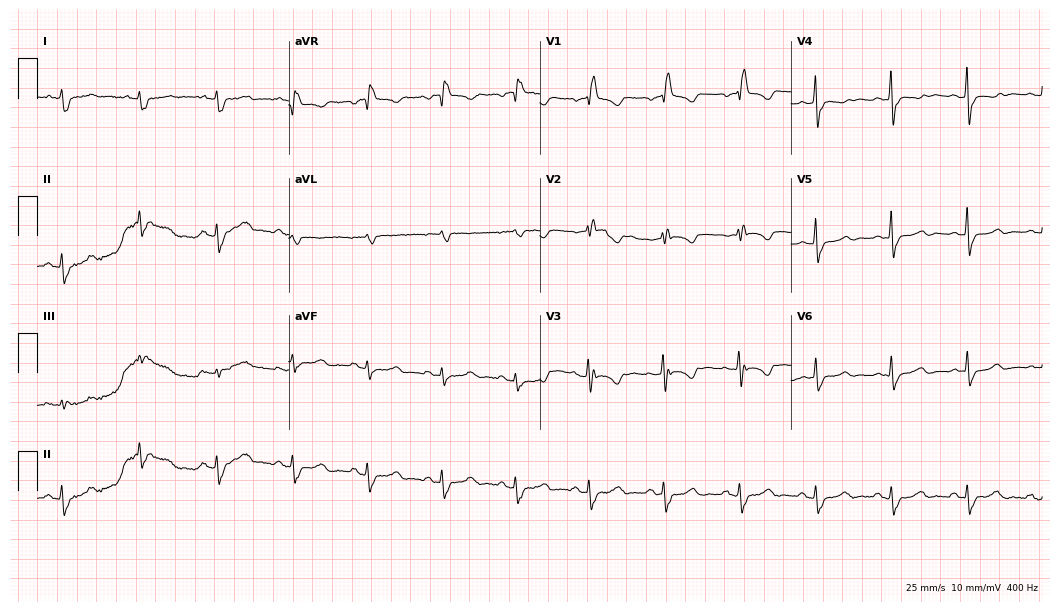
12-lead ECG from a 49-year-old female patient. Findings include right bundle branch block (RBBB).